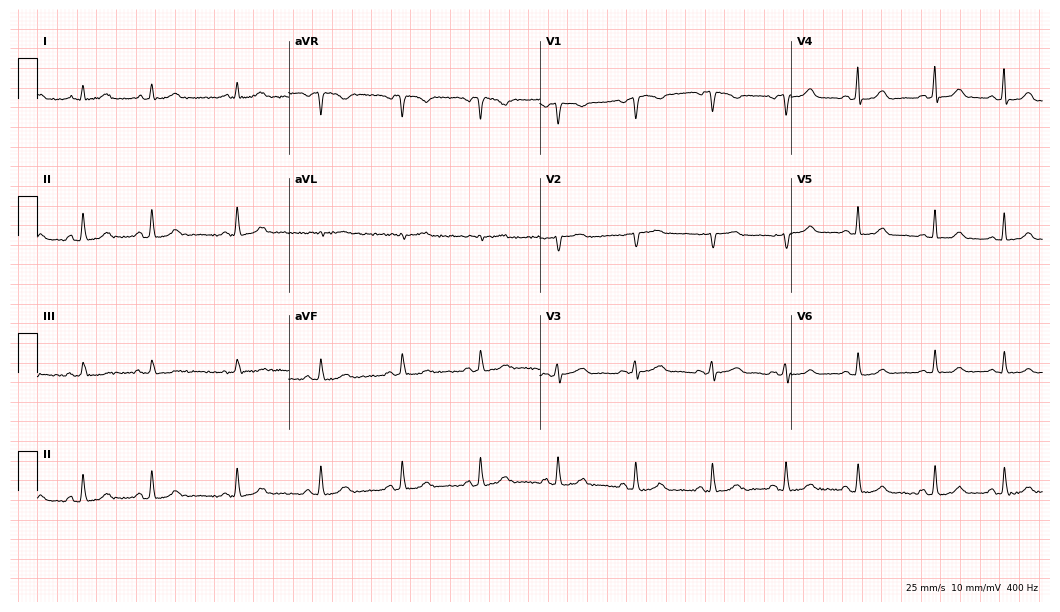
Electrocardiogram, a 45-year-old woman. Of the six screened findings (first-degree AV block, right bundle branch block (RBBB), left bundle branch block (LBBB), sinus bradycardia, atrial fibrillation (AF), sinus tachycardia), none is recorded.